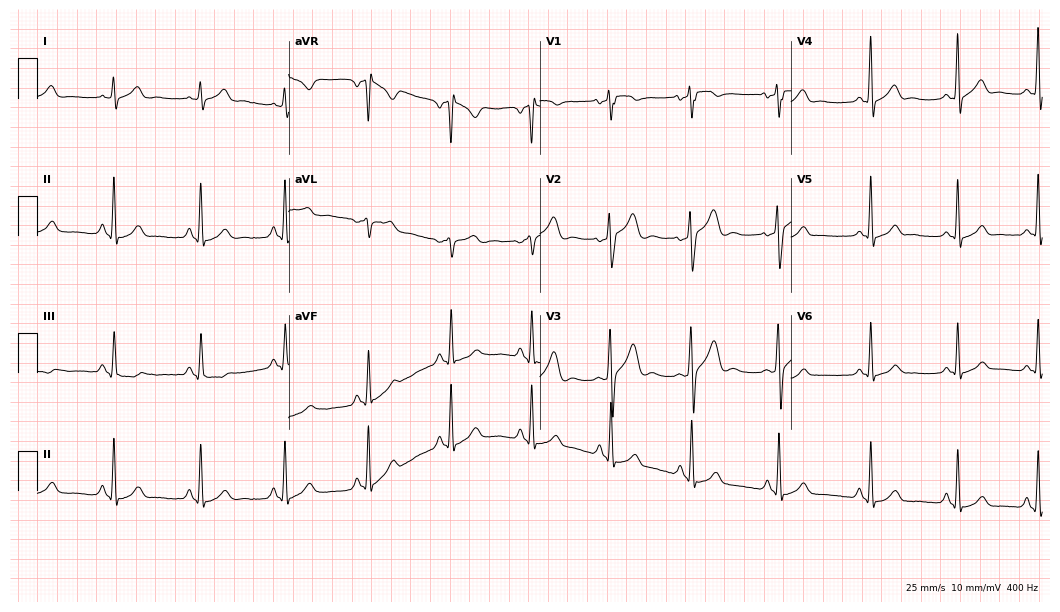
Resting 12-lead electrocardiogram. Patient: a 19-year-old man. None of these six findings is recorded: first-degree AV block, right bundle branch block, left bundle branch block, sinus bradycardia, atrial fibrillation, sinus tachycardia.